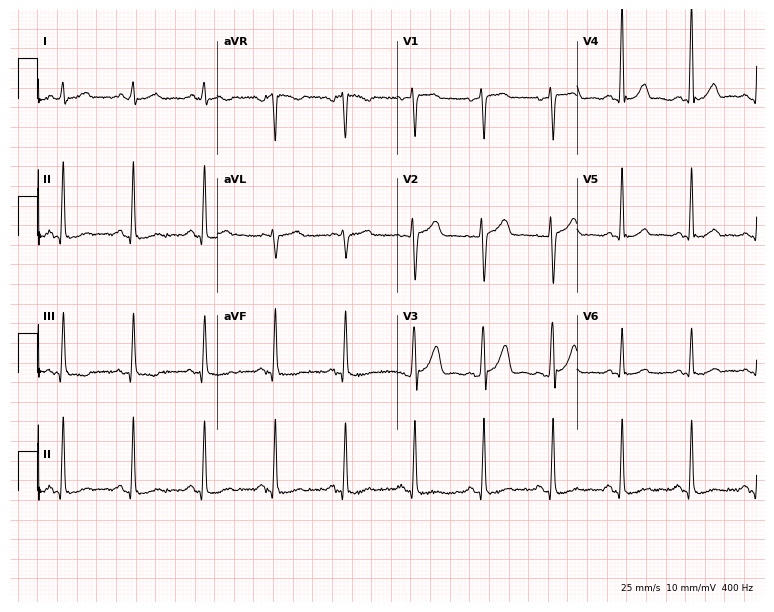
Electrocardiogram, a 39-year-old woman. Overall reading on record: normal ECG.